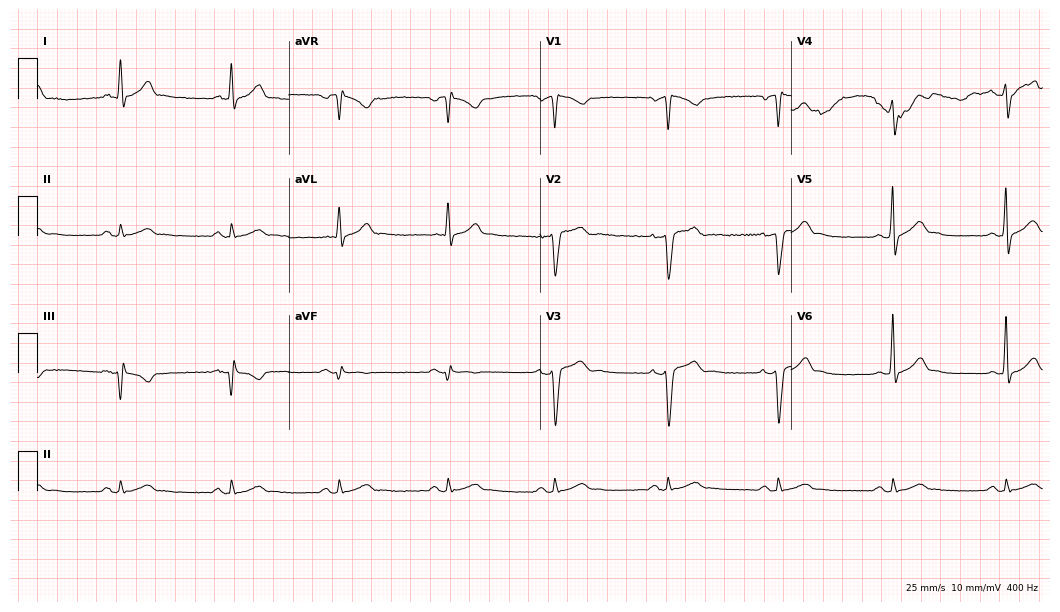
Electrocardiogram (10.2-second recording at 400 Hz), a 54-year-old male. Of the six screened findings (first-degree AV block, right bundle branch block (RBBB), left bundle branch block (LBBB), sinus bradycardia, atrial fibrillation (AF), sinus tachycardia), none is recorded. Other findings, if any, are not listed.